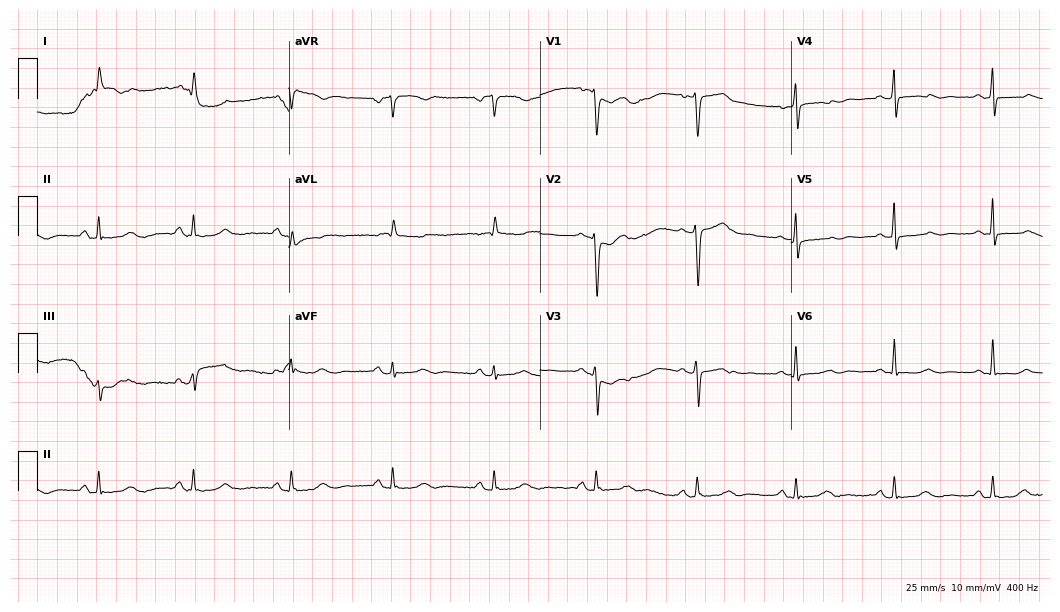
12-lead ECG from a female, 57 years old (10.2-second recording at 400 Hz). Recorded interpretation: within normal limits.